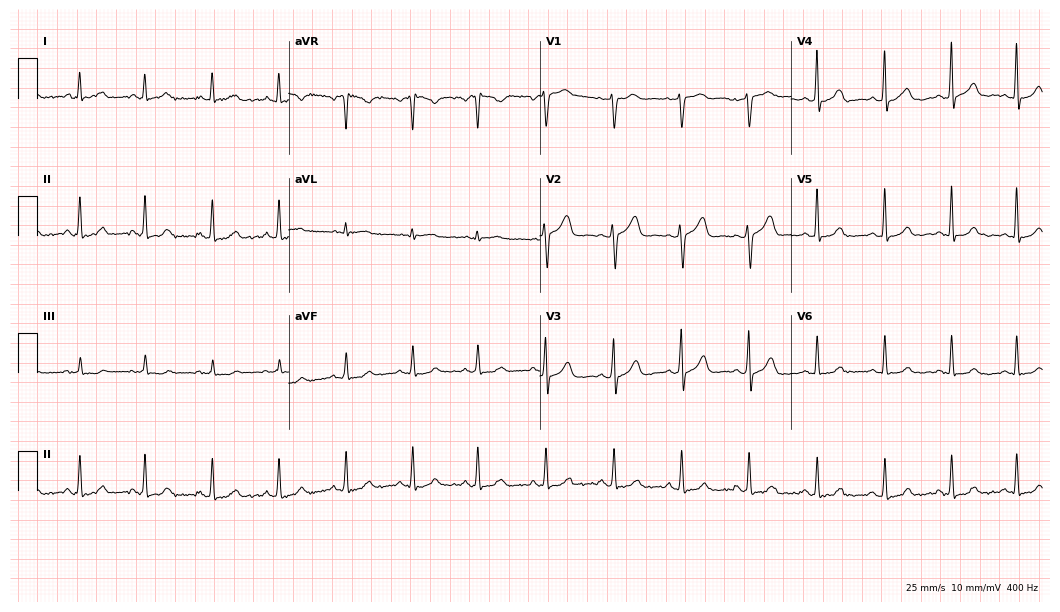
12-lead ECG from a 46-year-old female. Labelled as a normal ECG.